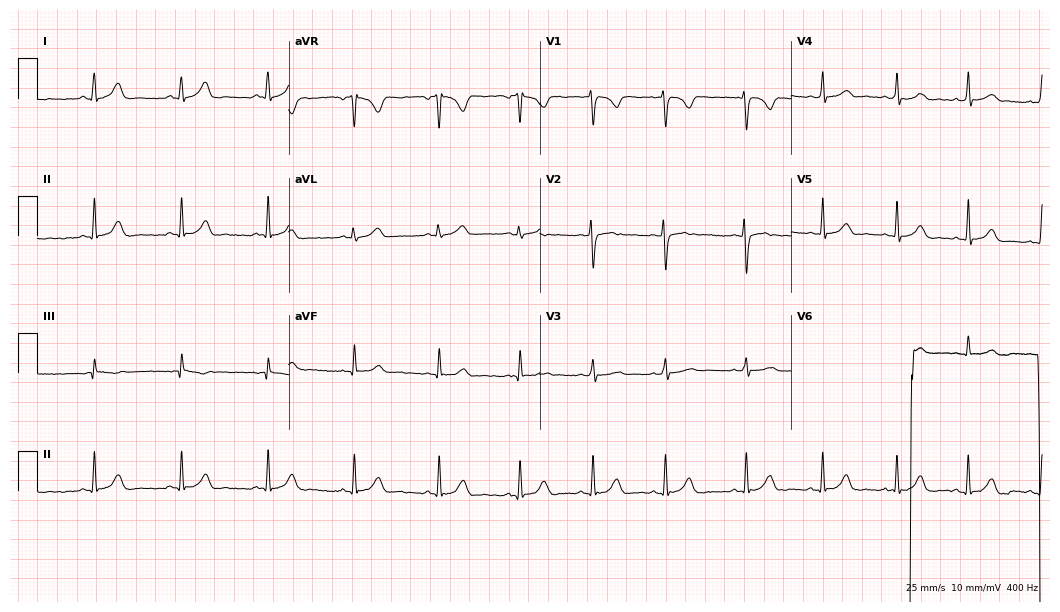
Standard 12-lead ECG recorded from a woman, 18 years old. Read as a normal ECG.